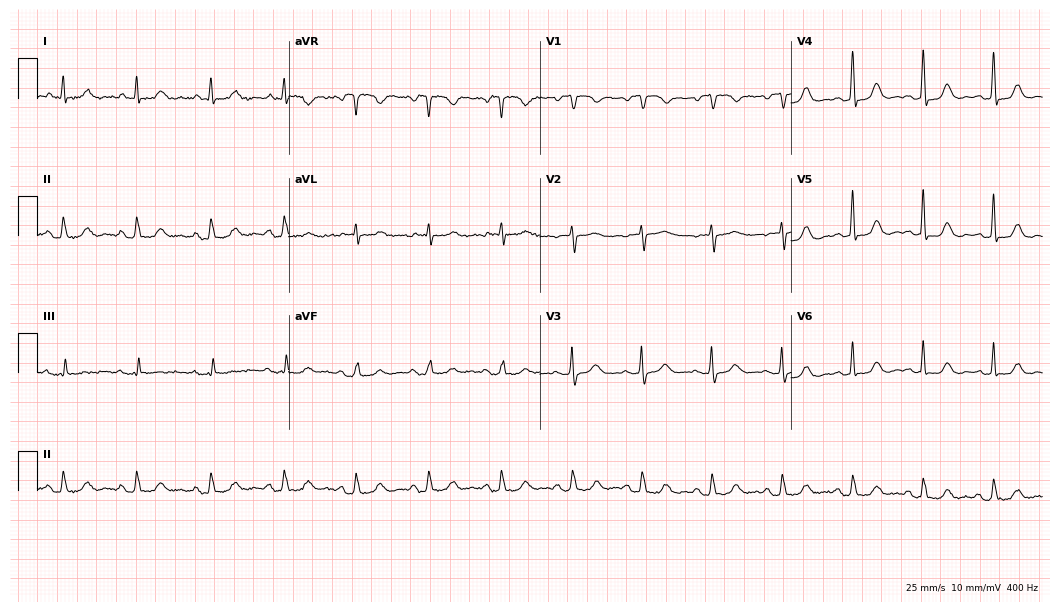
Standard 12-lead ECG recorded from a 64-year-old woman. Read as a normal ECG.